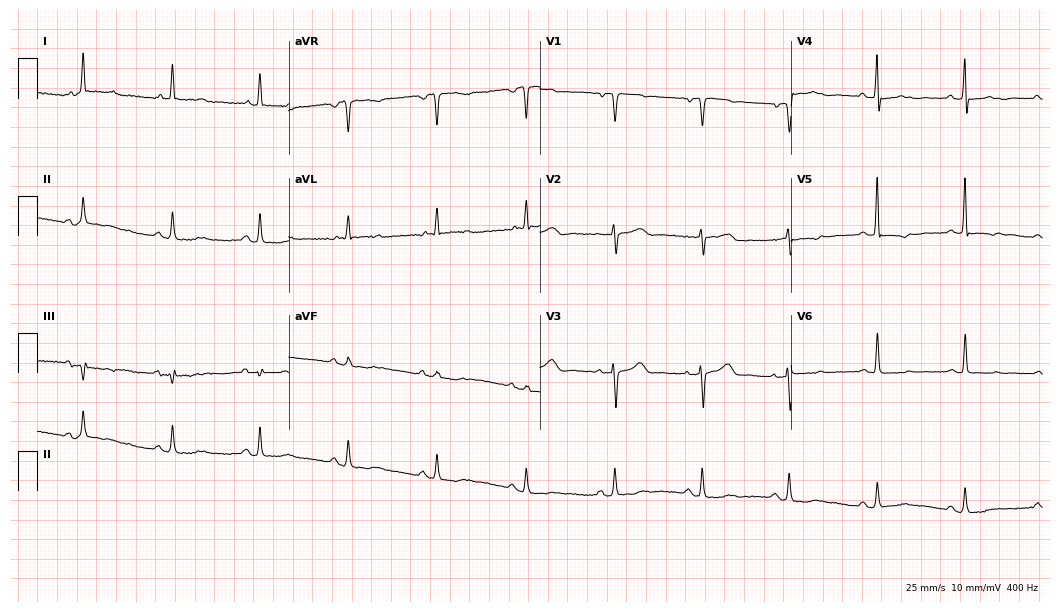
Resting 12-lead electrocardiogram. Patient: an 83-year-old female. None of these six findings is recorded: first-degree AV block, right bundle branch block, left bundle branch block, sinus bradycardia, atrial fibrillation, sinus tachycardia. Only these six findings were labelled.